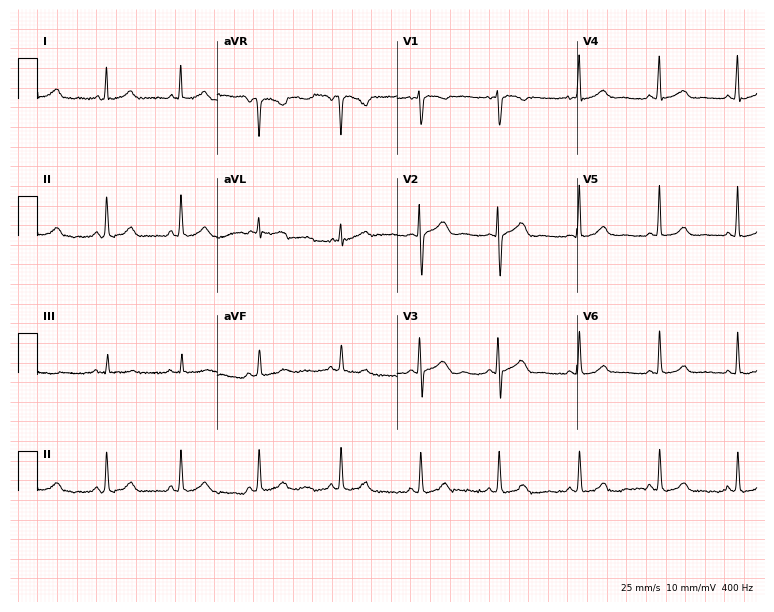
Resting 12-lead electrocardiogram. Patient: a 31-year-old female. Read as a normal ECG.